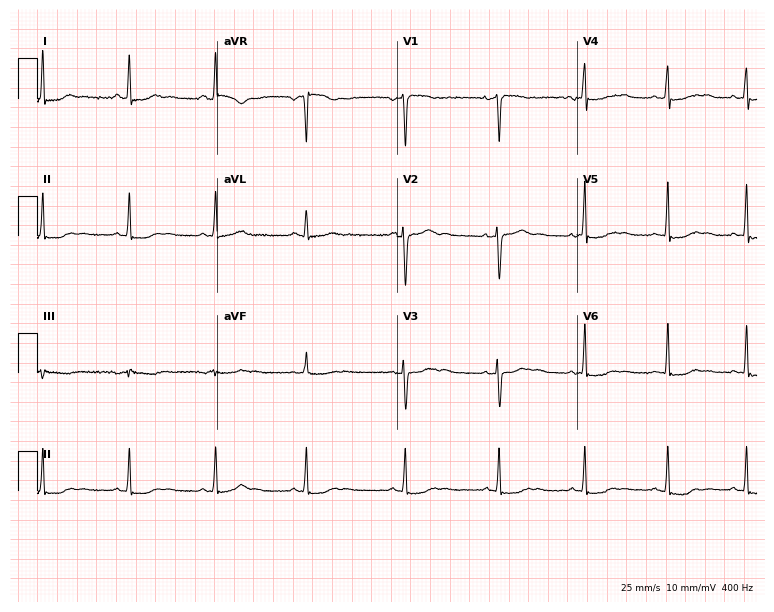
Electrocardiogram, a female, 31 years old. Of the six screened findings (first-degree AV block, right bundle branch block (RBBB), left bundle branch block (LBBB), sinus bradycardia, atrial fibrillation (AF), sinus tachycardia), none is recorded. Findings outside these six are not listed.